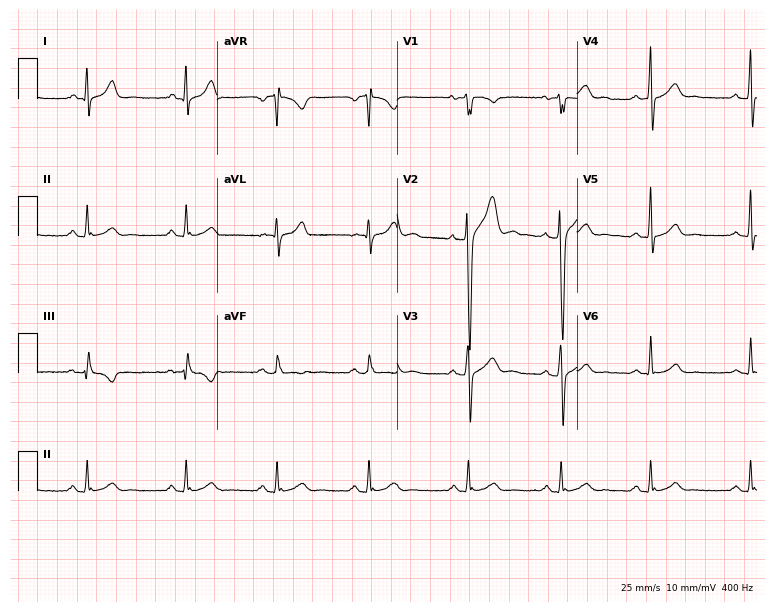
Resting 12-lead electrocardiogram (7.3-second recording at 400 Hz). Patient: a 30-year-old male. Read as a normal ECG.